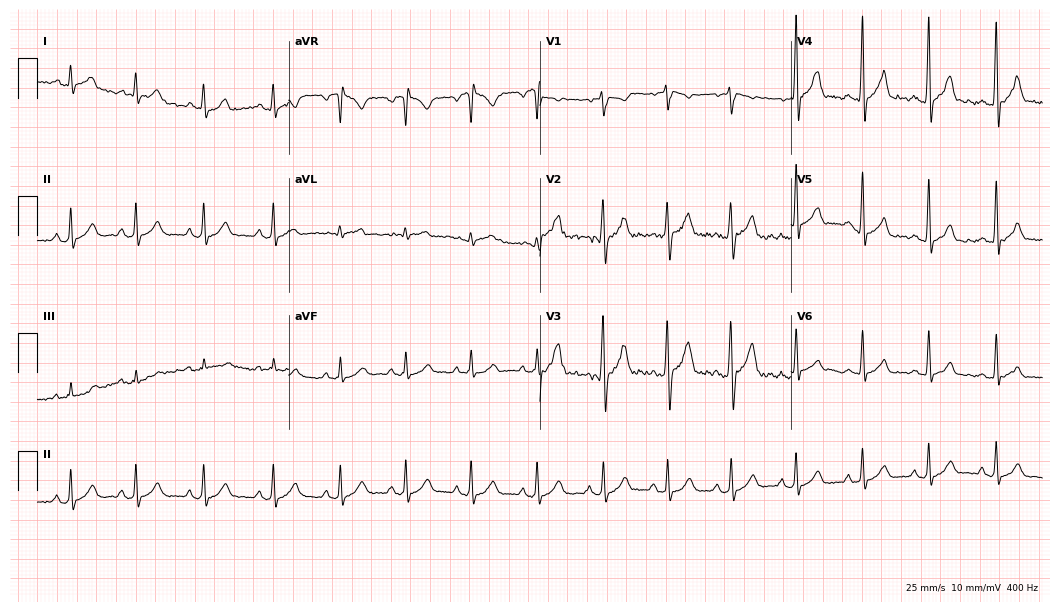
Resting 12-lead electrocardiogram (10.2-second recording at 400 Hz). Patient: an 18-year-old male. Read as a normal ECG.